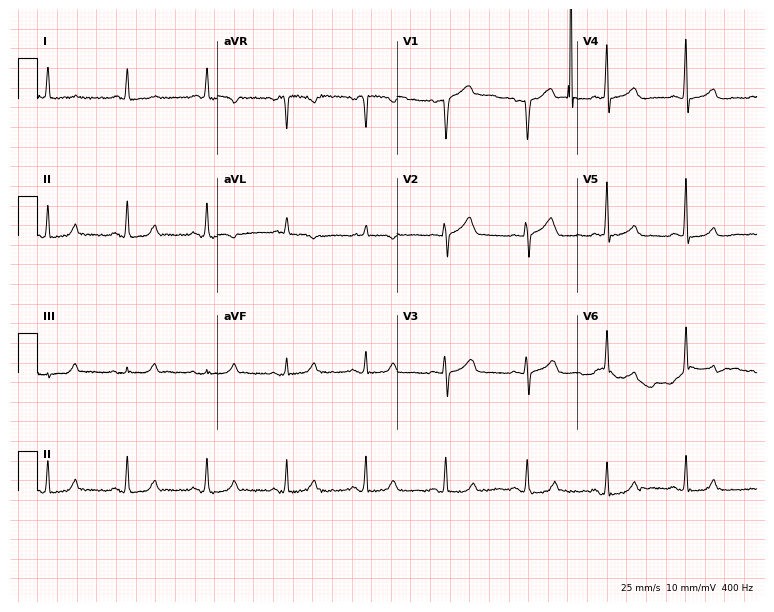
Electrocardiogram, a woman, 67 years old. Overall reading on record: normal ECG.